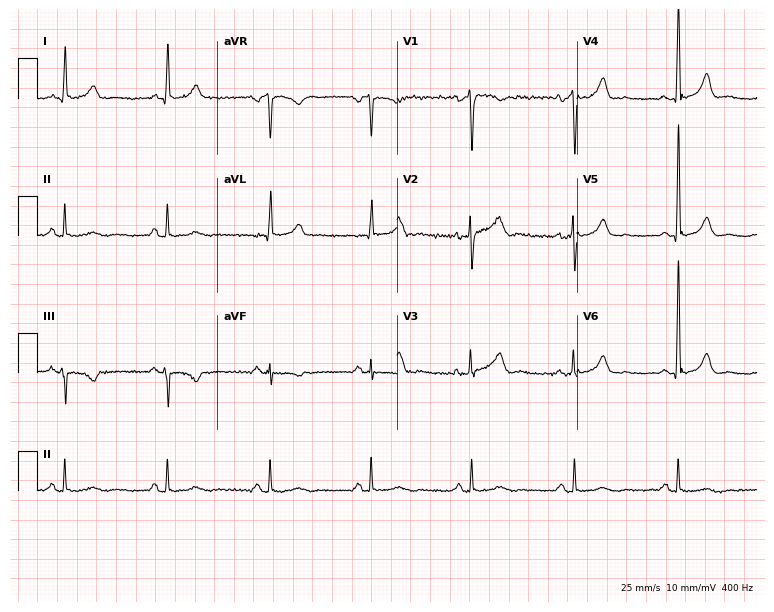
Electrocardiogram (7.3-second recording at 400 Hz), a 50-year-old male patient. Of the six screened findings (first-degree AV block, right bundle branch block, left bundle branch block, sinus bradycardia, atrial fibrillation, sinus tachycardia), none is recorded.